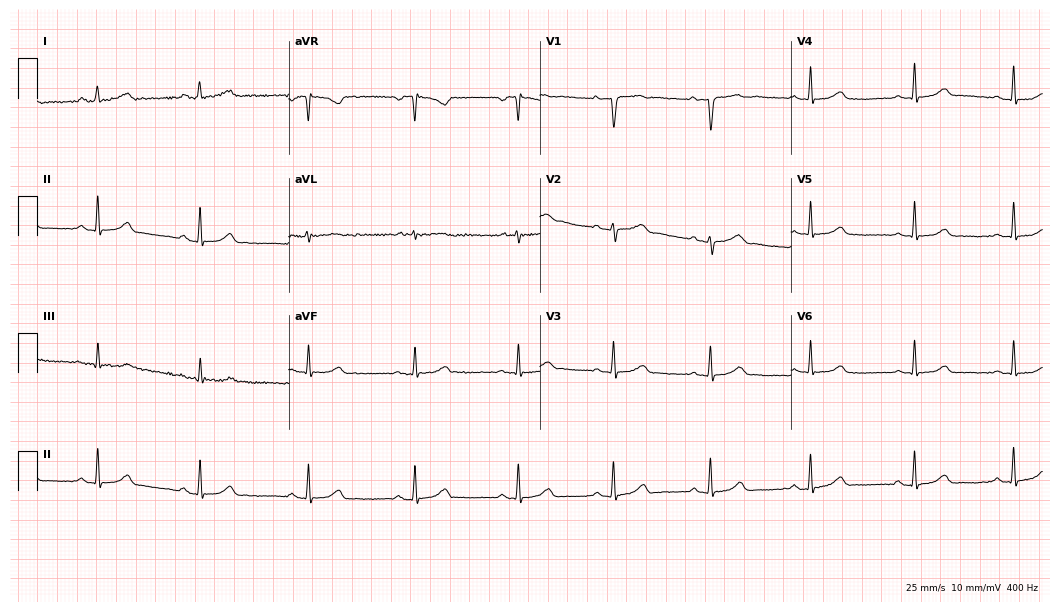
ECG (10.2-second recording at 400 Hz) — a woman, 29 years old. Labelled as a normal ECG.